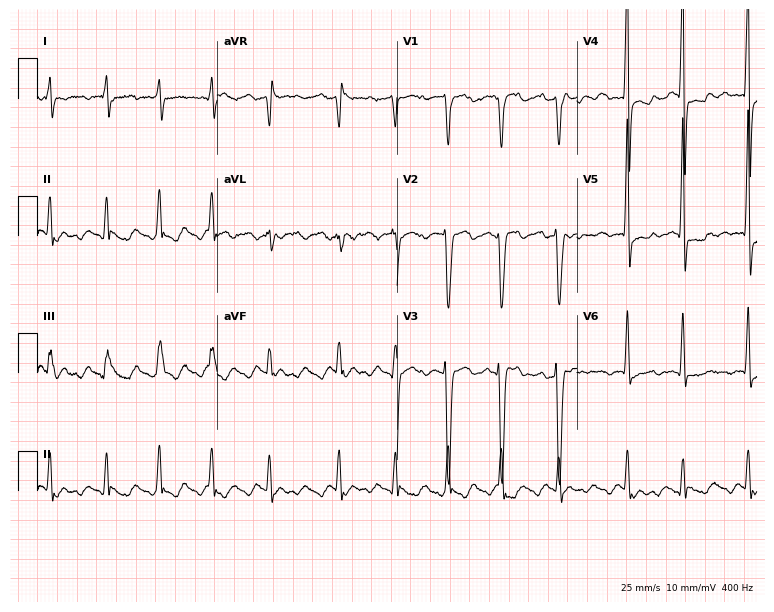
12-lead ECG from a 54-year-old male. Screened for six findings — first-degree AV block, right bundle branch block, left bundle branch block, sinus bradycardia, atrial fibrillation, sinus tachycardia — none is recorded.